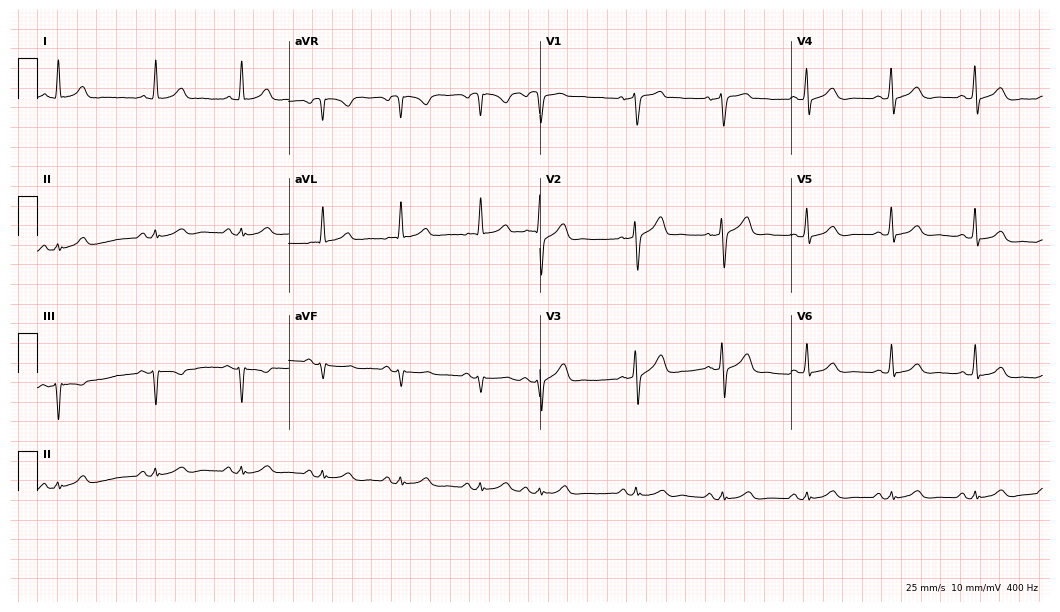
12-lead ECG (10.2-second recording at 400 Hz) from a male patient, 72 years old. Labelled as a normal ECG.